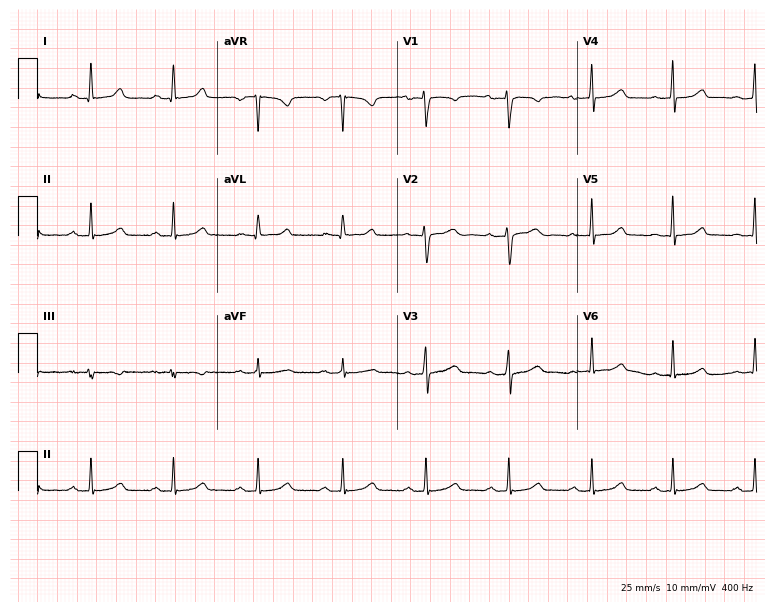
12-lead ECG from a female, 22 years old. Recorded interpretation: within normal limits.